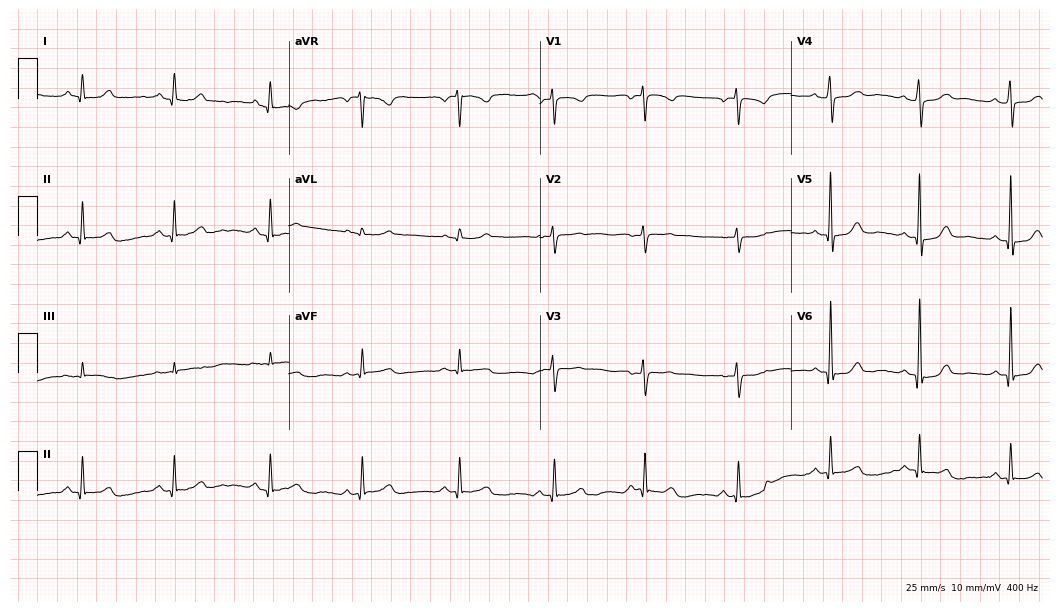
Electrocardiogram, a female patient, 57 years old. Of the six screened findings (first-degree AV block, right bundle branch block, left bundle branch block, sinus bradycardia, atrial fibrillation, sinus tachycardia), none is recorded.